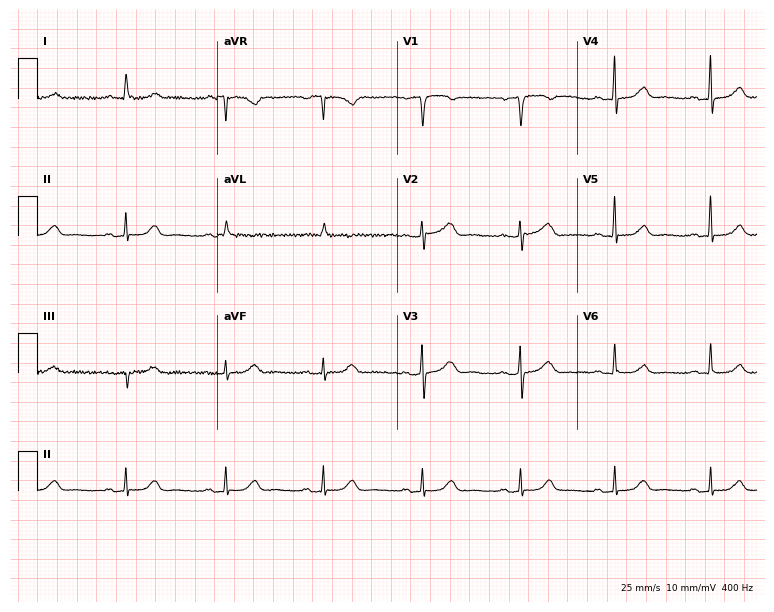
Resting 12-lead electrocardiogram (7.3-second recording at 400 Hz). Patient: a woman, 64 years old. None of these six findings is recorded: first-degree AV block, right bundle branch block, left bundle branch block, sinus bradycardia, atrial fibrillation, sinus tachycardia.